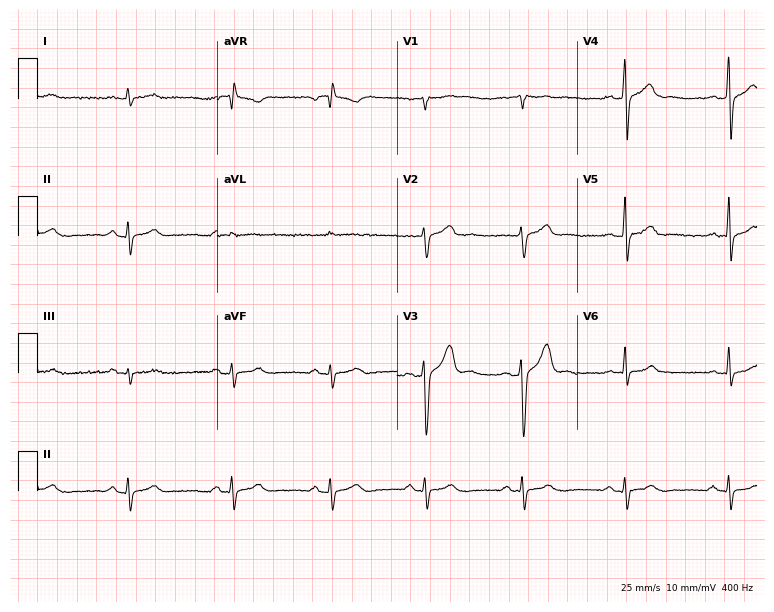
Resting 12-lead electrocardiogram. Patient: a male, 28 years old. Read as a normal ECG.